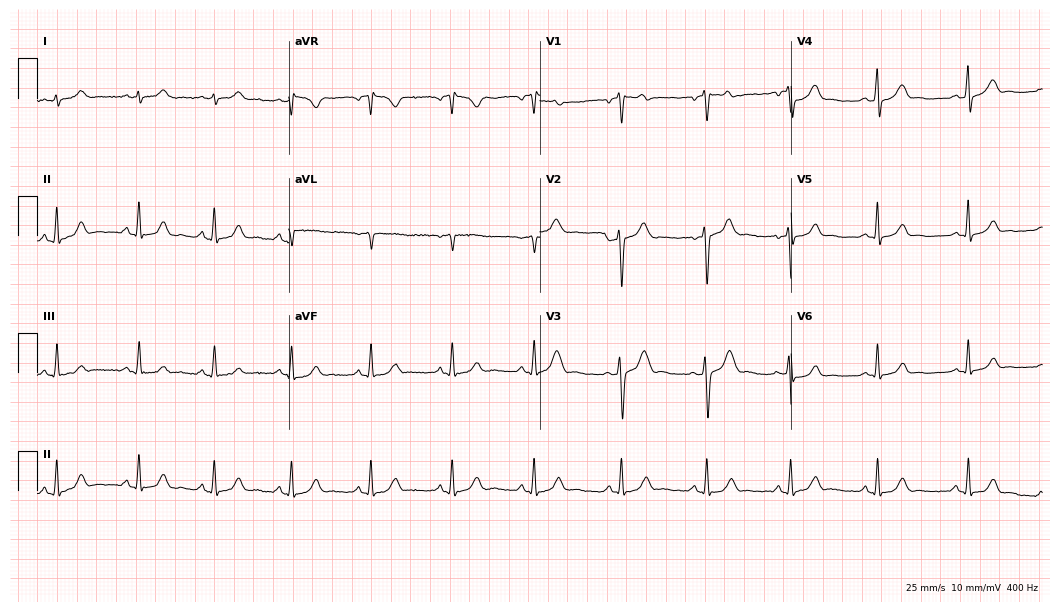
Electrocardiogram, a 29-year-old female patient. Overall reading on record: normal ECG.